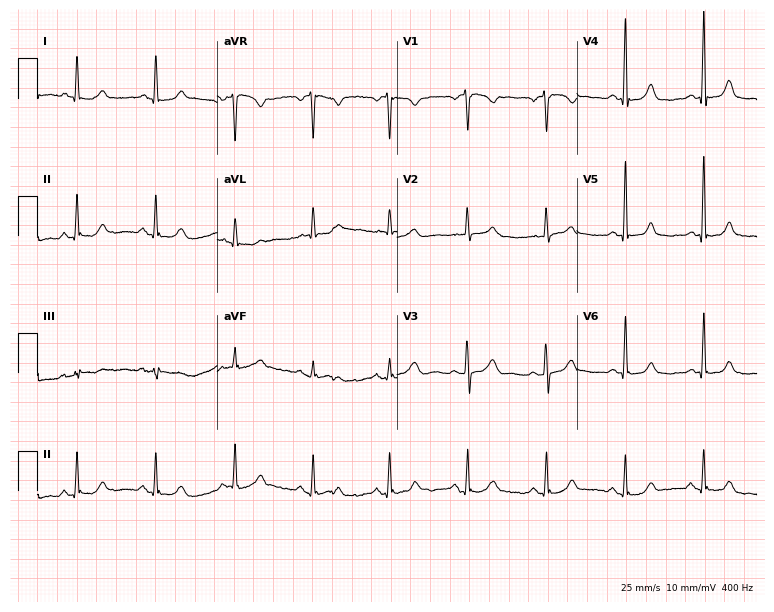
12-lead ECG from a female patient, 62 years old. Recorded interpretation: within normal limits.